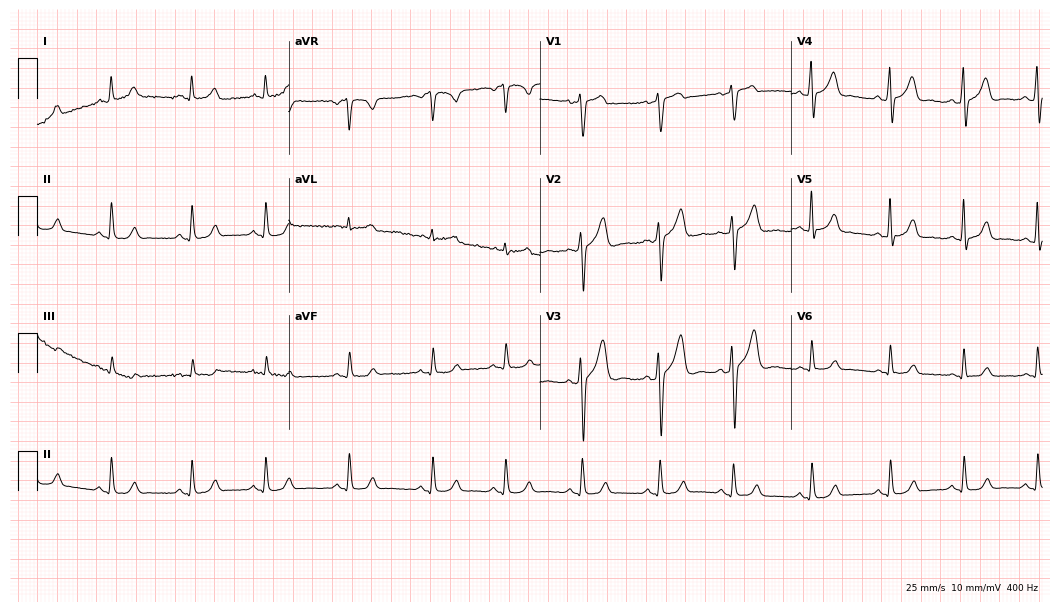
Standard 12-lead ECG recorded from a male, 19 years old. Read as a normal ECG.